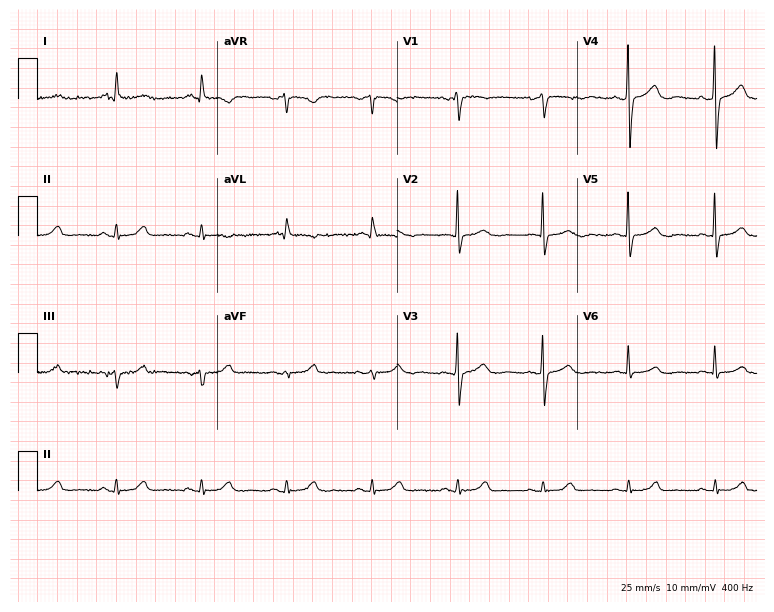
Standard 12-lead ECG recorded from a 65-year-old female patient (7.3-second recording at 400 Hz). Read as a normal ECG.